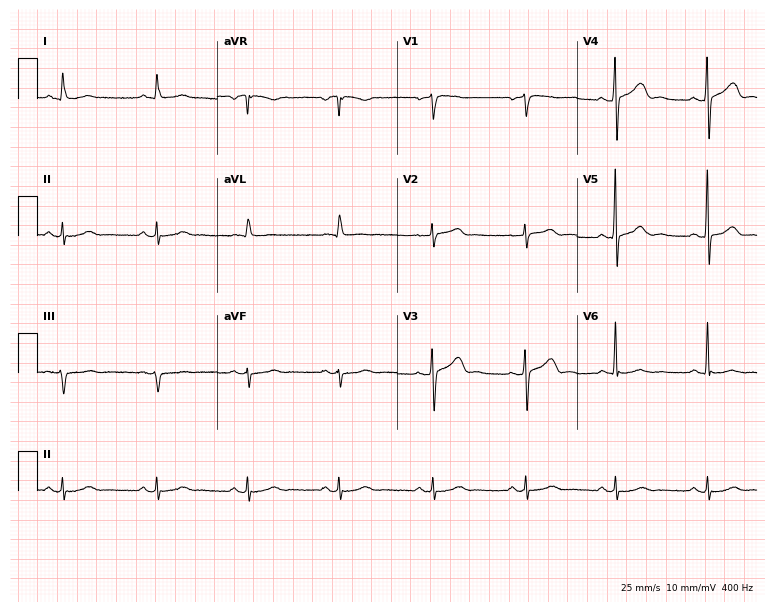
ECG (7.3-second recording at 400 Hz) — a 63-year-old male. Labelled as a normal ECG.